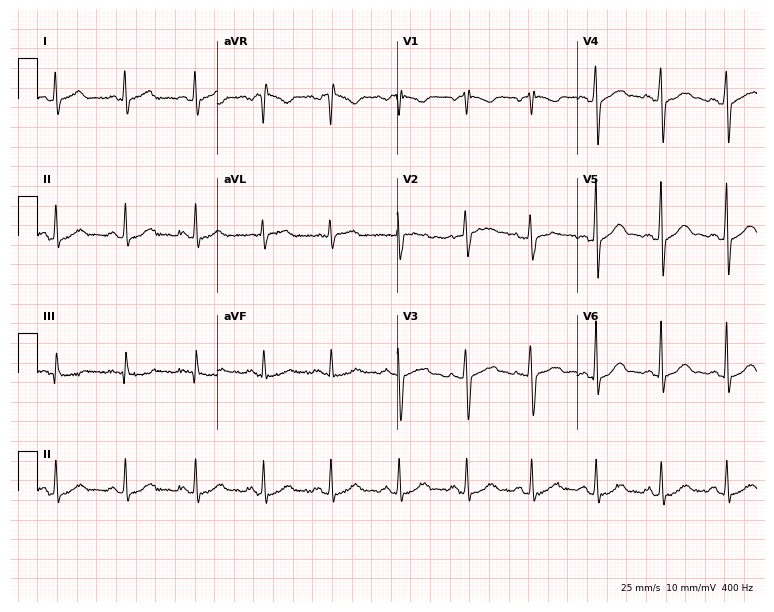
12-lead ECG from a woman, 33 years old (7.3-second recording at 400 Hz). No first-degree AV block, right bundle branch block, left bundle branch block, sinus bradycardia, atrial fibrillation or sinus tachycardia recorded for this tracing.